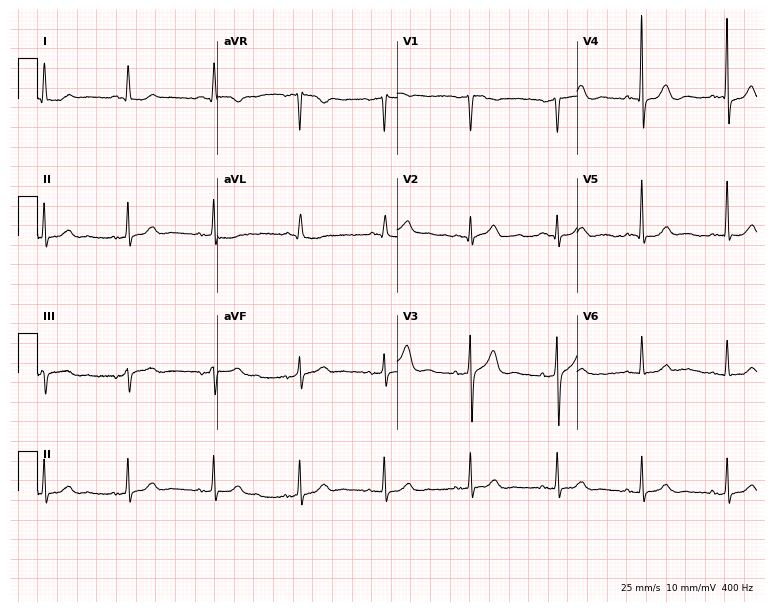
12-lead ECG from a 65-year-old male patient. Recorded interpretation: within normal limits.